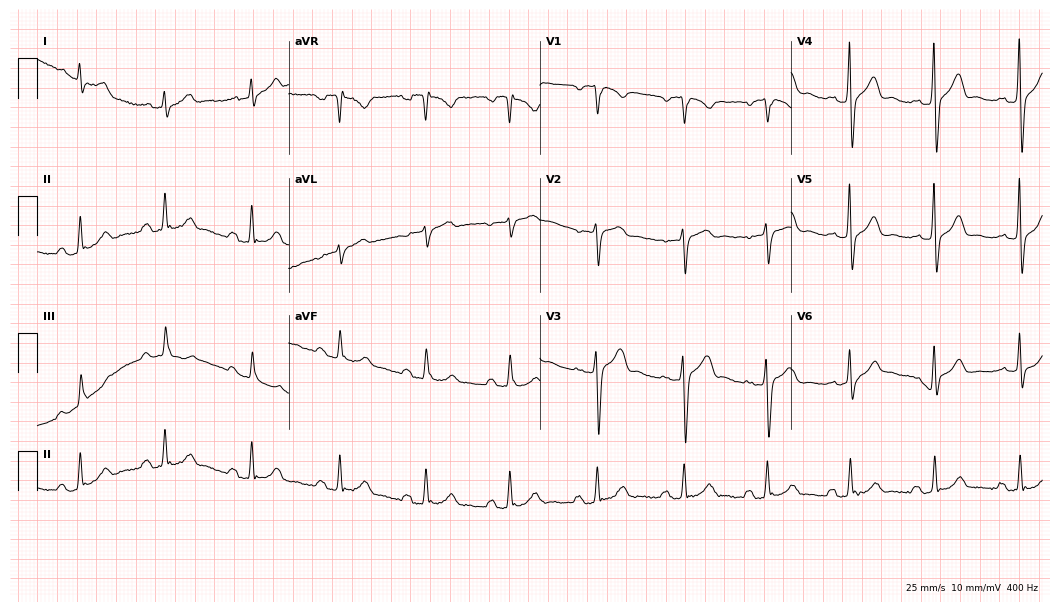
12-lead ECG from a 61-year-old man. No first-degree AV block, right bundle branch block, left bundle branch block, sinus bradycardia, atrial fibrillation or sinus tachycardia recorded for this tracing.